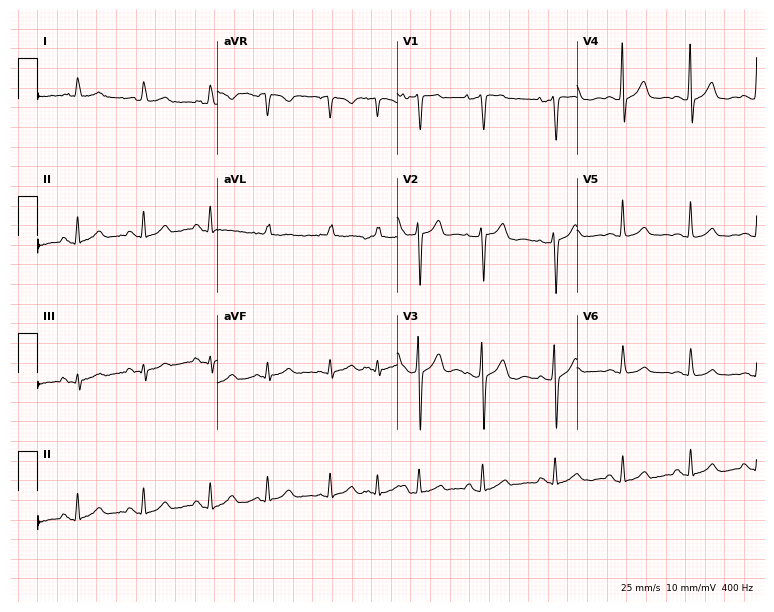
Electrocardiogram (7.3-second recording at 400 Hz), a female, 74 years old. Of the six screened findings (first-degree AV block, right bundle branch block (RBBB), left bundle branch block (LBBB), sinus bradycardia, atrial fibrillation (AF), sinus tachycardia), none is recorded. Findings outside these six are not listed.